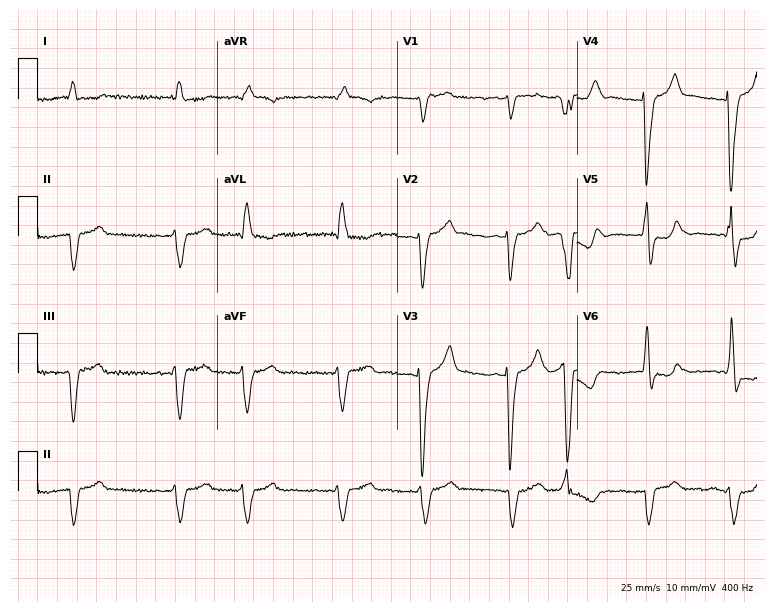
12-lead ECG from a 79-year-old man. Findings include atrial fibrillation (AF).